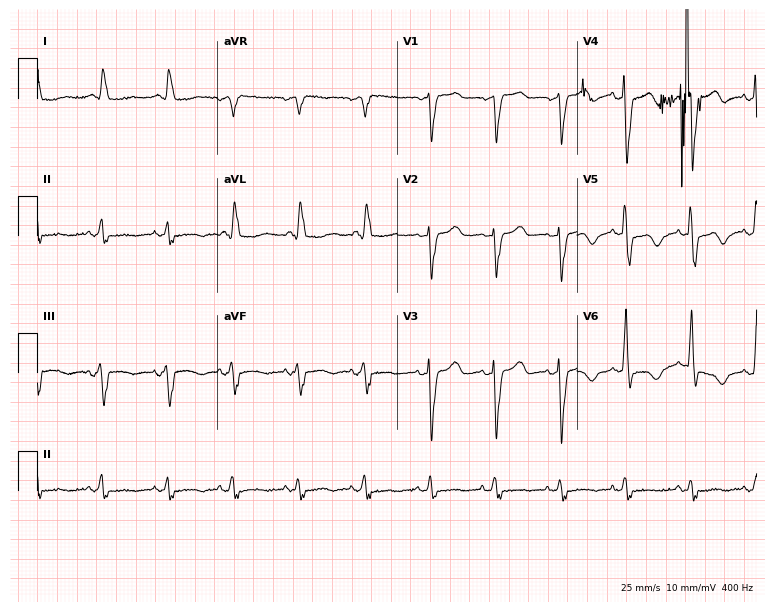
ECG — a female, 77 years old. Screened for six findings — first-degree AV block, right bundle branch block, left bundle branch block, sinus bradycardia, atrial fibrillation, sinus tachycardia — none is recorded. Findings outside these six are not listed.